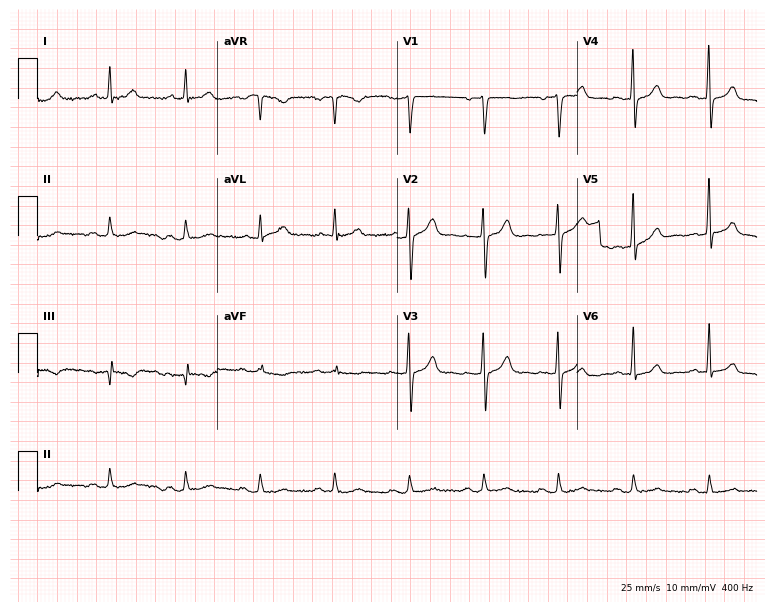
Resting 12-lead electrocardiogram. Patient: a male, 58 years old. Read as a normal ECG.